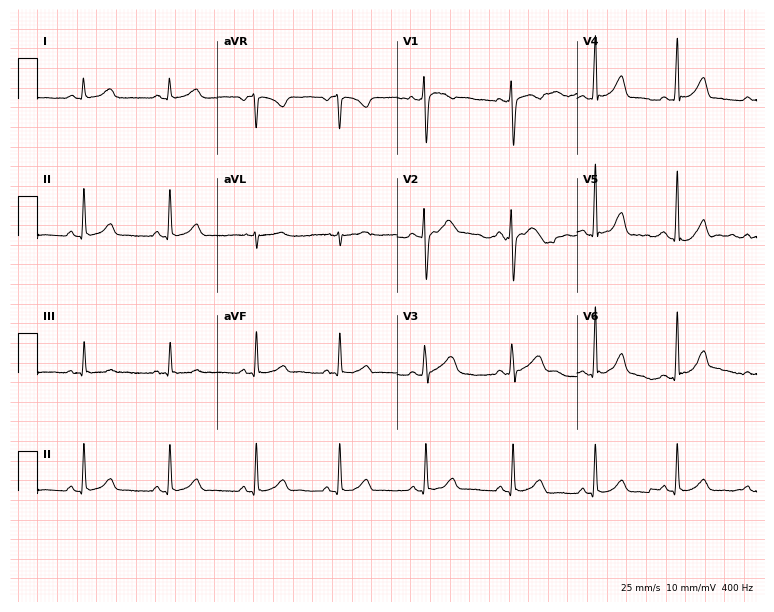
Standard 12-lead ECG recorded from a female patient, 32 years old. Read as a normal ECG.